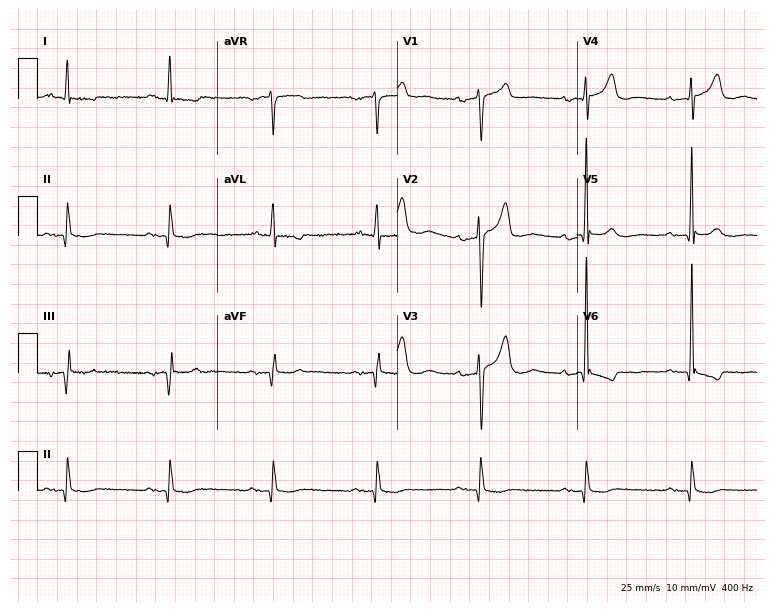
ECG — a male patient, 85 years old. Labelled as a normal ECG.